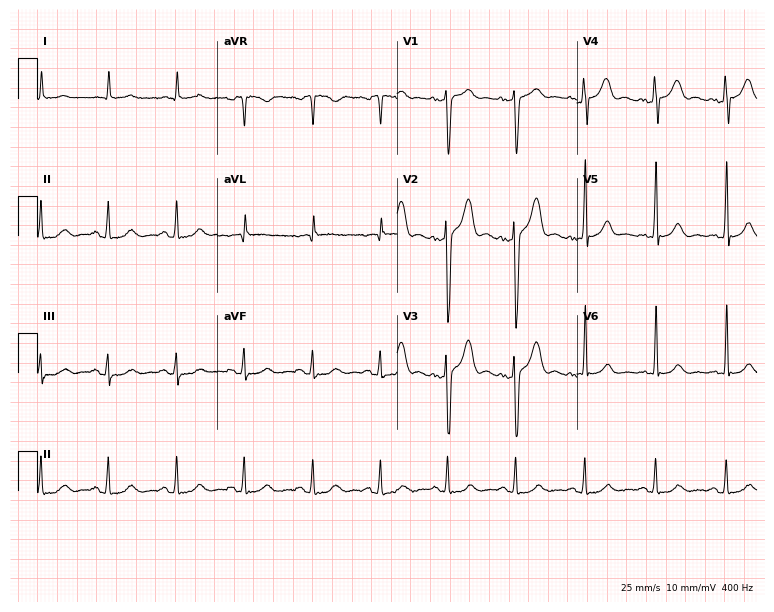
12-lead ECG from a male patient, 53 years old (7.3-second recording at 400 Hz). No first-degree AV block, right bundle branch block, left bundle branch block, sinus bradycardia, atrial fibrillation or sinus tachycardia recorded for this tracing. Only these six findings were labelled.